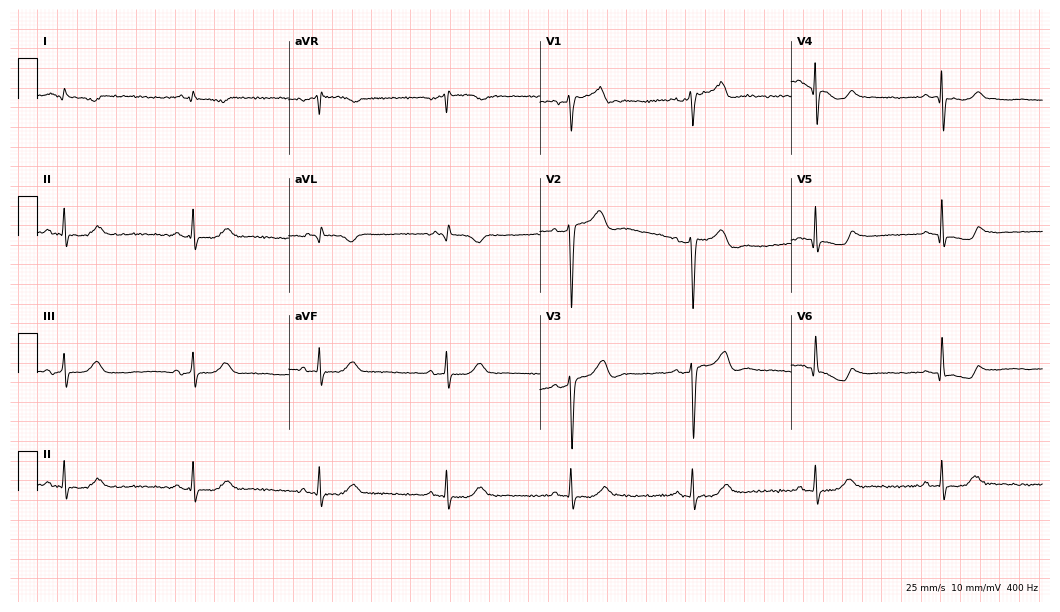
12-lead ECG (10.2-second recording at 400 Hz) from a 63-year-old male. Screened for six findings — first-degree AV block, right bundle branch block (RBBB), left bundle branch block (LBBB), sinus bradycardia, atrial fibrillation (AF), sinus tachycardia — none is recorded. Only these six findings were labelled.